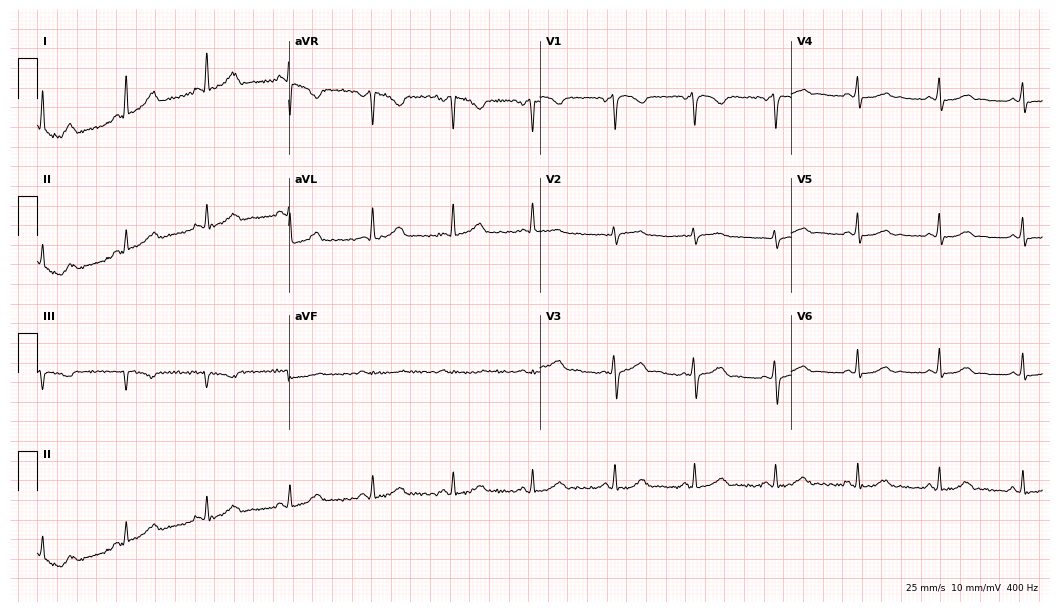
Standard 12-lead ECG recorded from a 38-year-old woman. None of these six findings is recorded: first-degree AV block, right bundle branch block, left bundle branch block, sinus bradycardia, atrial fibrillation, sinus tachycardia.